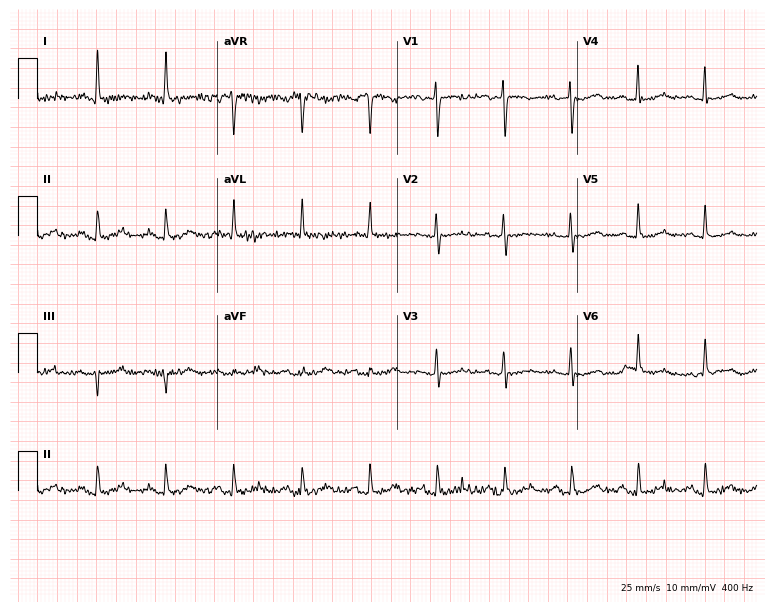
Resting 12-lead electrocardiogram (7.3-second recording at 400 Hz). Patient: a female, 55 years old. None of these six findings is recorded: first-degree AV block, right bundle branch block, left bundle branch block, sinus bradycardia, atrial fibrillation, sinus tachycardia.